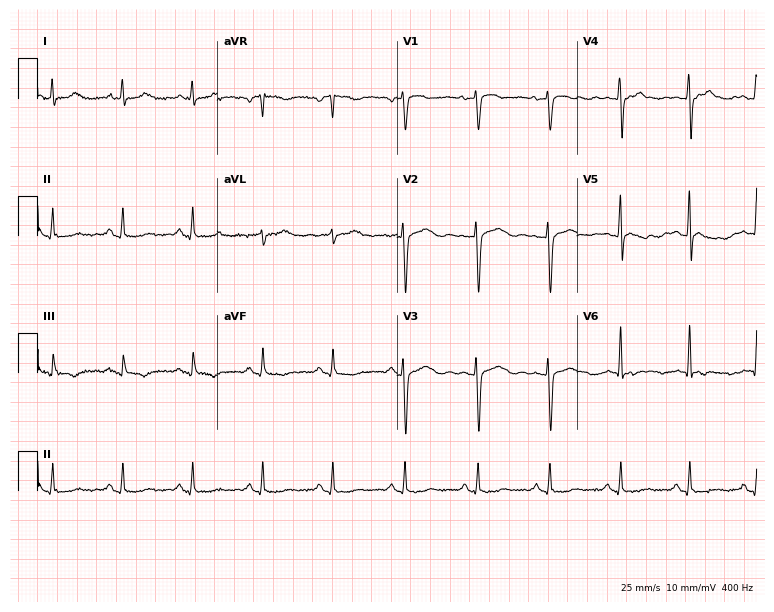
Resting 12-lead electrocardiogram. Patient: a 45-year-old woman. None of these six findings is recorded: first-degree AV block, right bundle branch block (RBBB), left bundle branch block (LBBB), sinus bradycardia, atrial fibrillation (AF), sinus tachycardia.